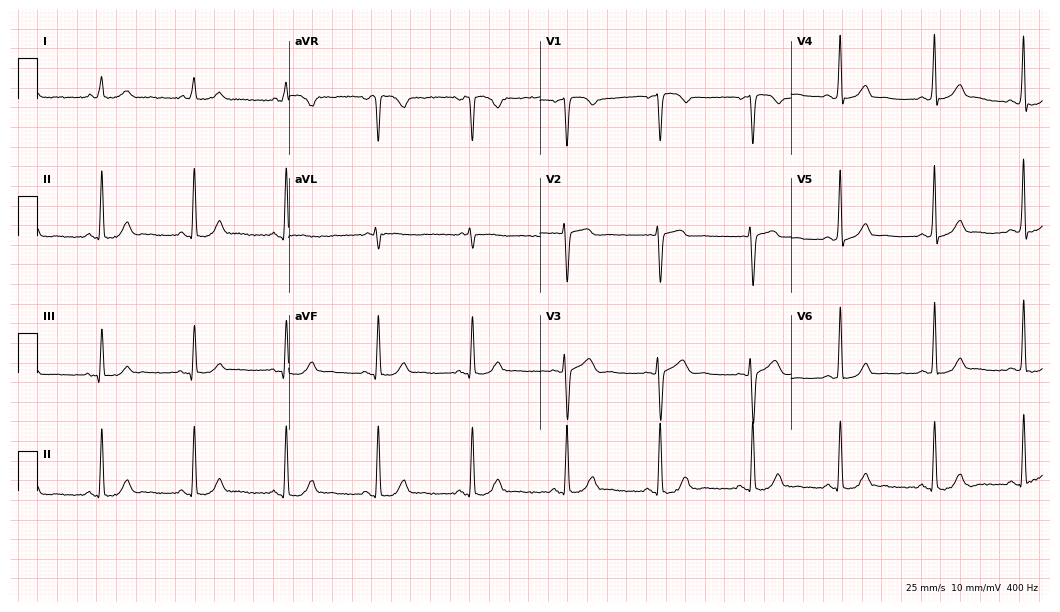
Resting 12-lead electrocardiogram (10.2-second recording at 400 Hz). Patient: a 66-year-old male. None of these six findings is recorded: first-degree AV block, right bundle branch block (RBBB), left bundle branch block (LBBB), sinus bradycardia, atrial fibrillation (AF), sinus tachycardia. Other findings, if any, are not listed.